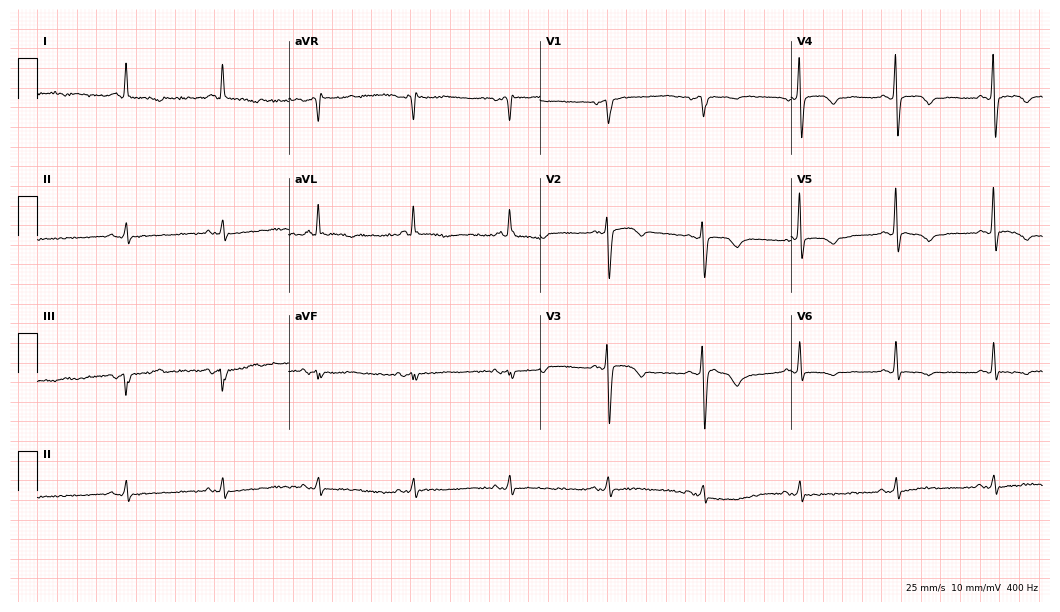
ECG — an 84-year-old female patient. Screened for six findings — first-degree AV block, right bundle branch block (RBBB), left bundle branch block (LBBB), sinus bradycardia, atrial fibrillation (AF), sinus tachycardia — none is recorded. Findings outside these six are not listed.